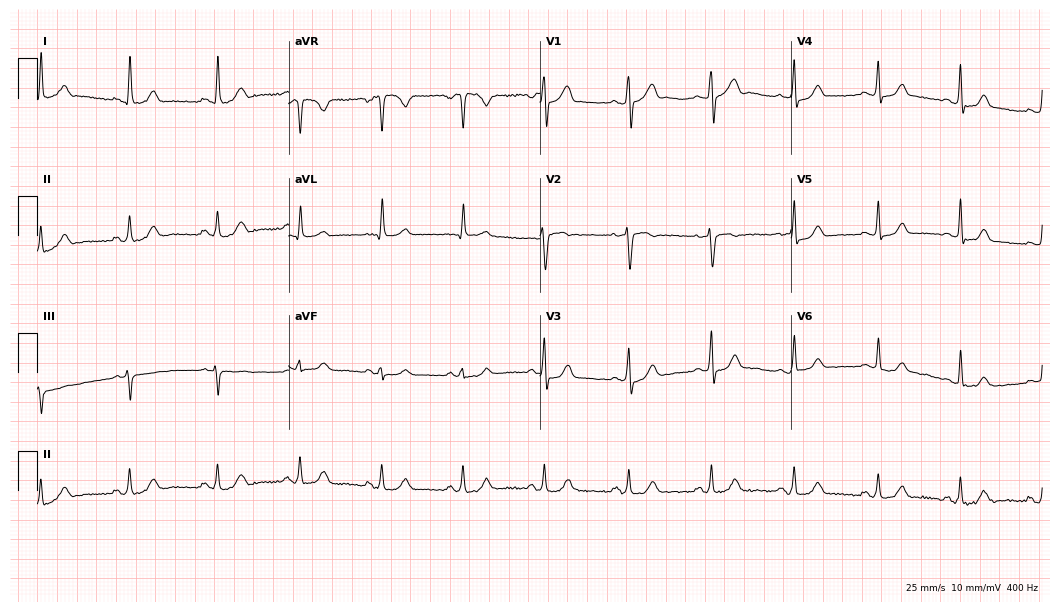
Standard 12-lead ECG recorded from a woman, 36 years old. Read as a normal ECG.